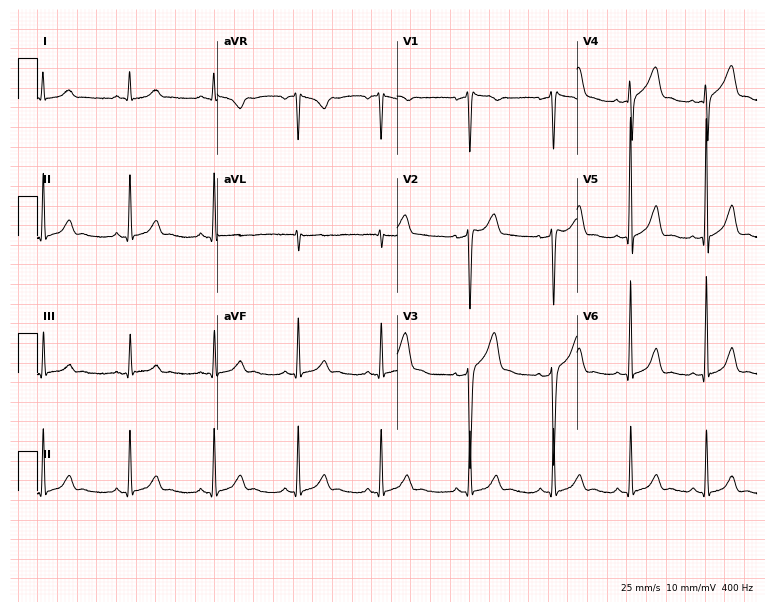
ECG — a man, 35 years old. Labelled as a normal ECG.